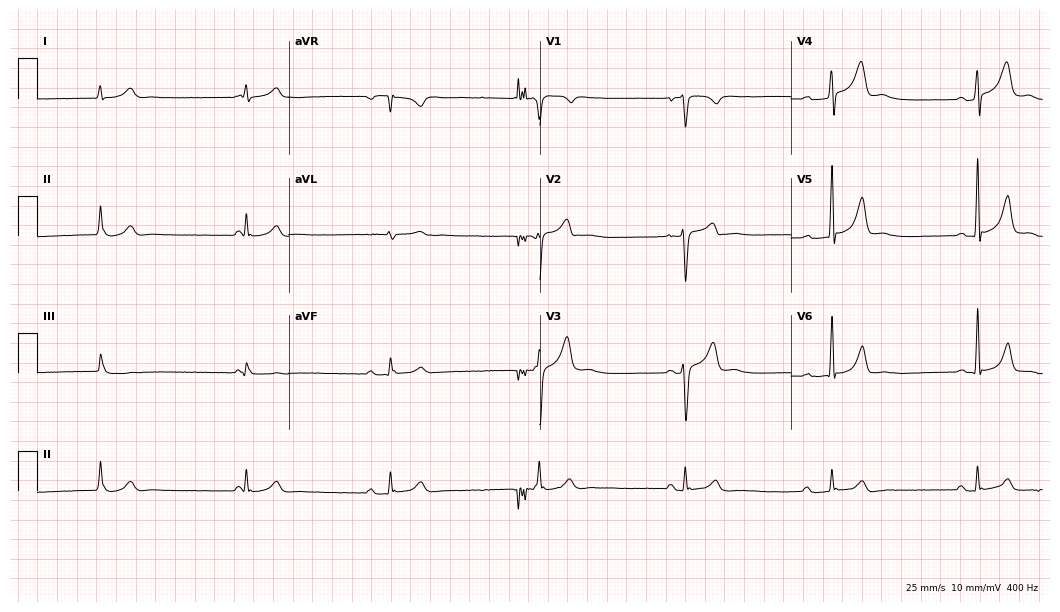
Standard 12-lead ECG recorded from a man, 27 years old. None of these six findings is recorded: first-degree AV block, right bundle branch block (RBBB), left bundle branch block (LBBB), sinus bradycardia, atrial fibrillation (AF), sinus tachycardia.